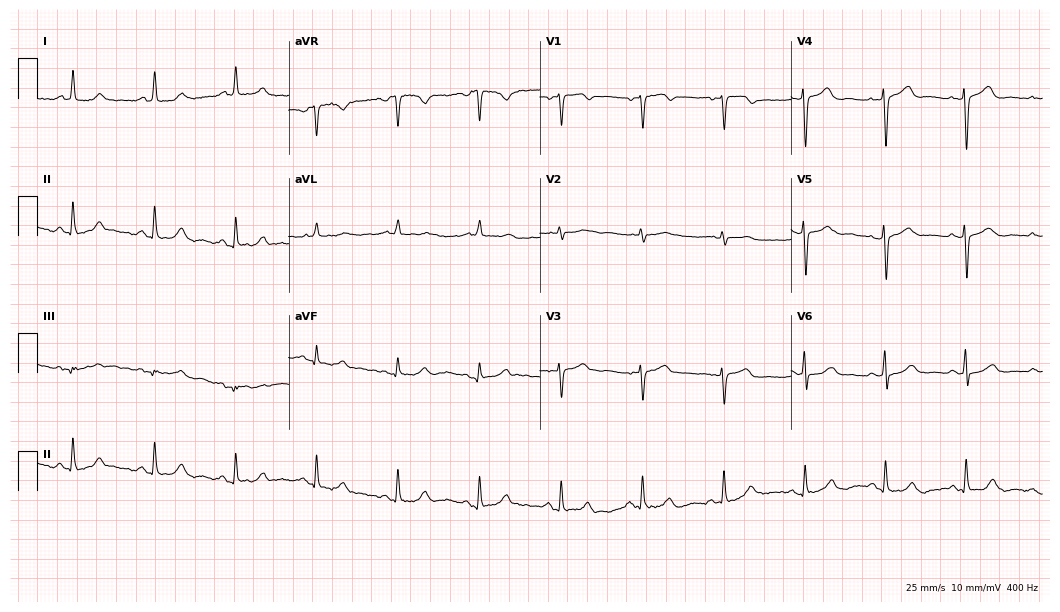
12-lead ECG from a 79-year-old female. Recorded interpretation: within normal limits.